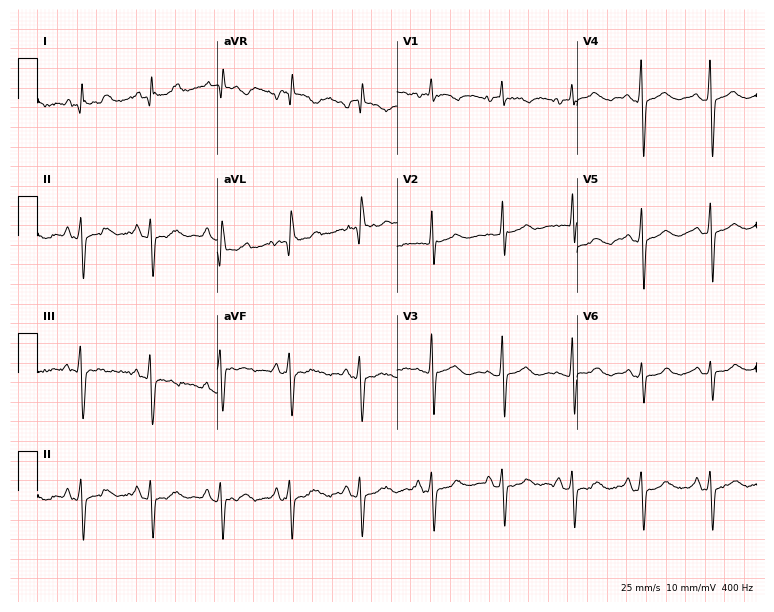
12-lead ECG from a woman, 64 years old. Screened for six findings — first-degree AV block, right bundle branch block, left bundle branch block, sinus bradycardia, atrial fibrillation, sinus tachycardia — none is recorded.